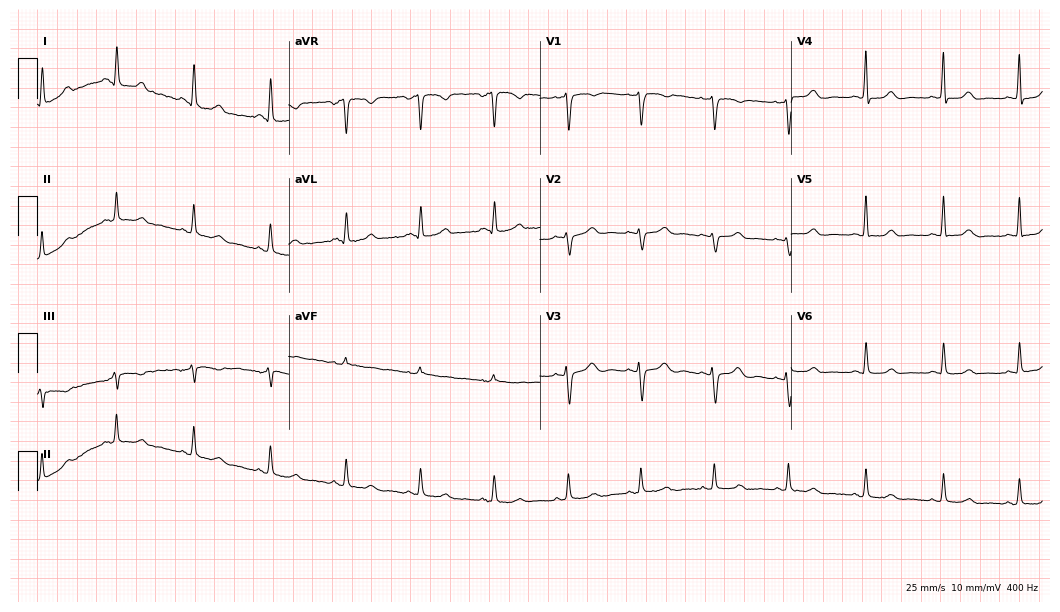
ECG — a 48-year-old woman. Labelled as a normal ECG.